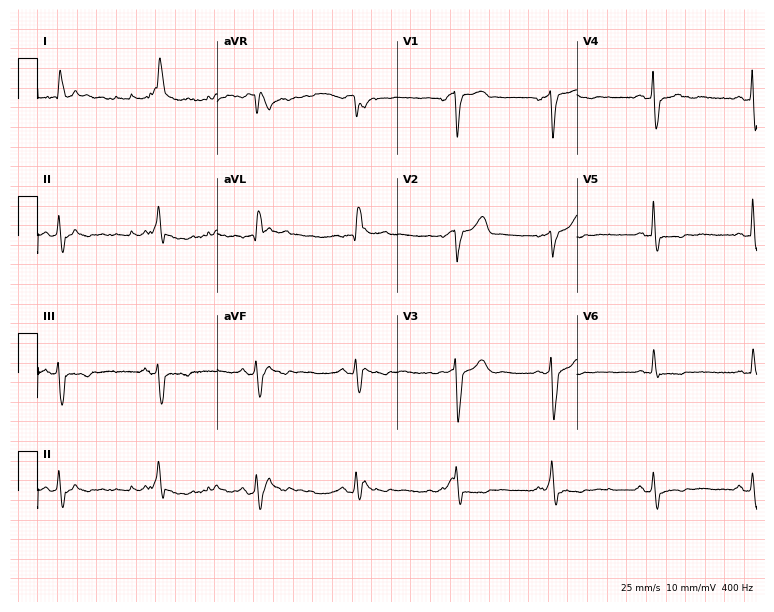
ECG — an 84-year-old male patient. Screened for six findings — first-degree AV block, right bundle branch block, left bundle branch block, sinus bradycardia, atrial fibrillation, sinus tachycardia — none is recorded.